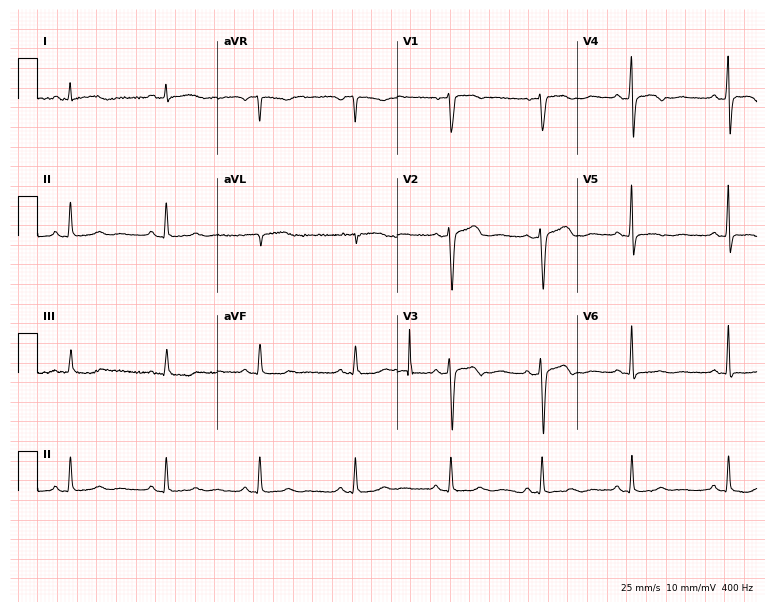
12-lead ECG (7.3-second recording at 400 Hz) from a female, 43 years old. Screened for six findings — first-degree AV block, right bundle branch block, left bundle branch block, sinus bradycardia, atrial fibrillation, sinus tachycardia — none is recorded.